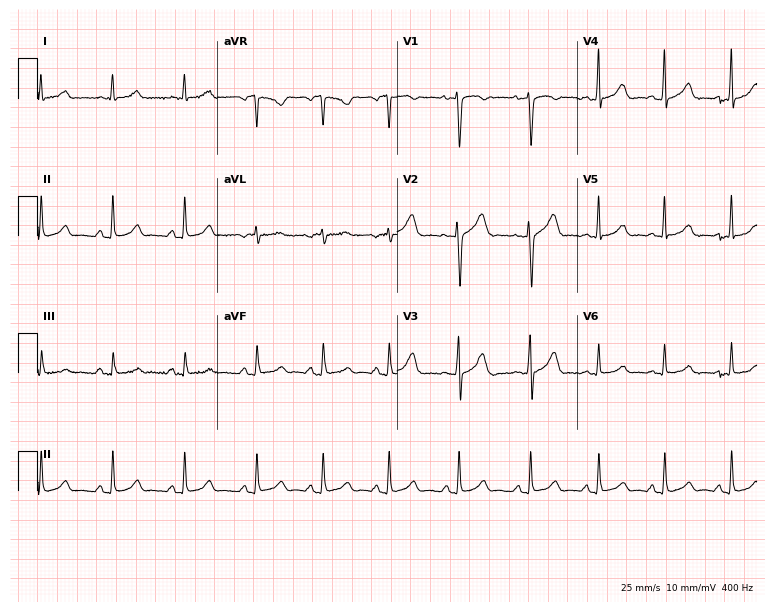
12-lead ECG from a female patient, 20 years old. Recorded interpretation: within normal limits.